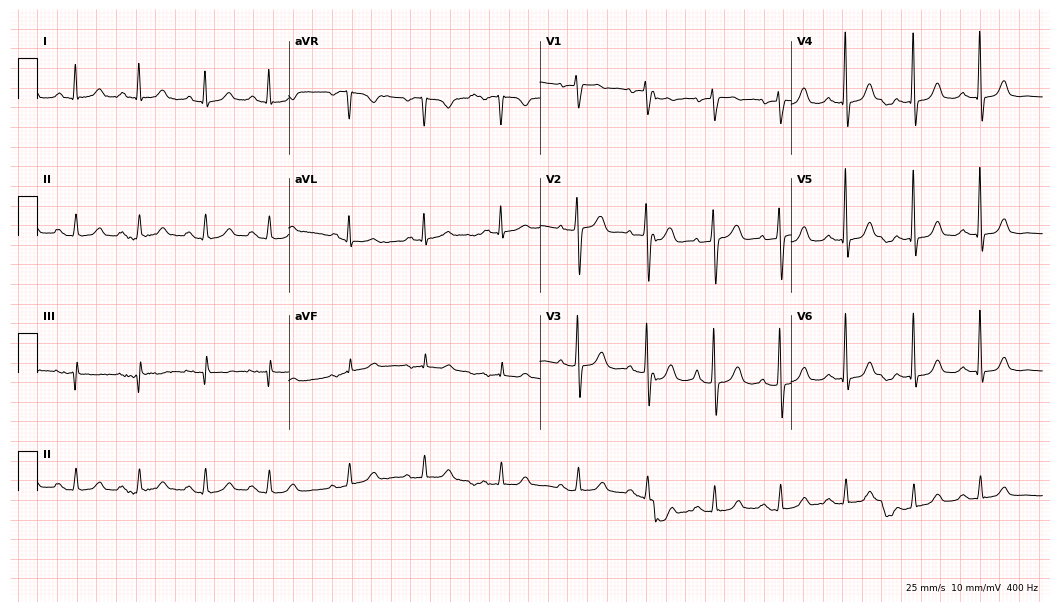
12-lead ECG from a female patient, 77 years old. No first-degree AV block, right bundle branch block (RBBB), left bundle branch block (LBBB), sinus bradycardia, atrial fibrillation (AF) or sinus tachycardia recorded for this tracing.